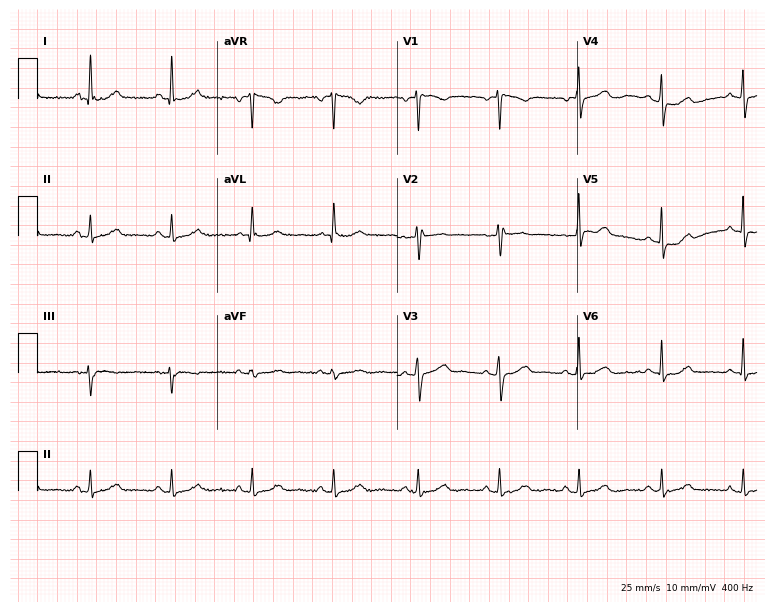
Resting 12-lead electrocardiogram (7.3-second recording at 400 Hz). Patient: a female, 54 years old. None of these six findings is recorded: first-degree AV block, right bundle branch block, left bundle branch block, sinus bradycardia, atrial fibrillation, sinus tachycardia. Findings outside these six are not listed.